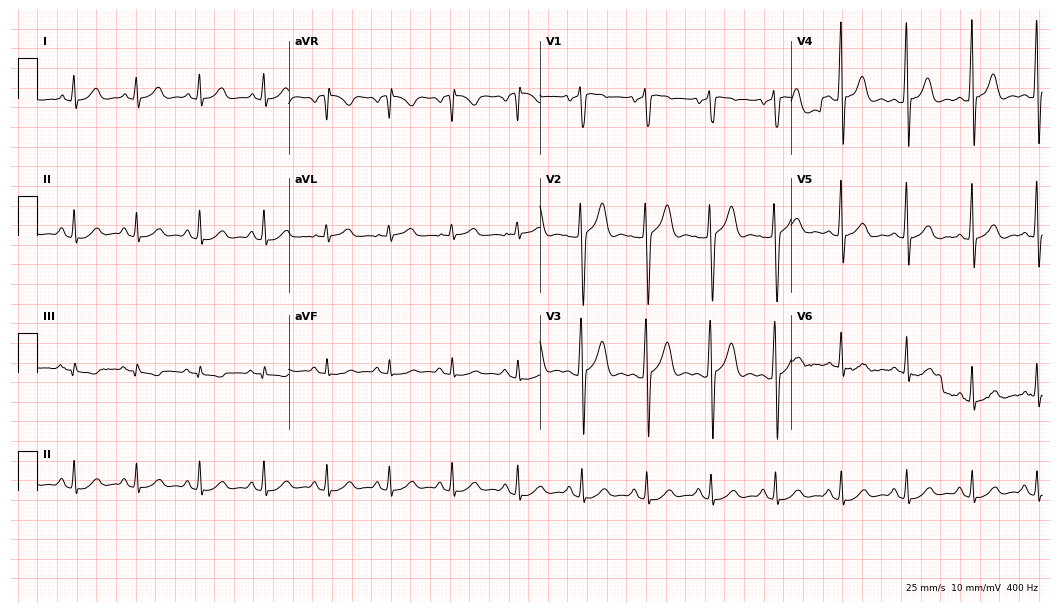
12-lead ECG from a 39-year-old male. Screened for six findings — first-degree AV block, right bundle branch block (RBBB), left bundle branch block (LBBB), sinus bradycardia, atrial fibrillation (AF), sinus tachycardia — none is recorded. Only these six findings were labelled.